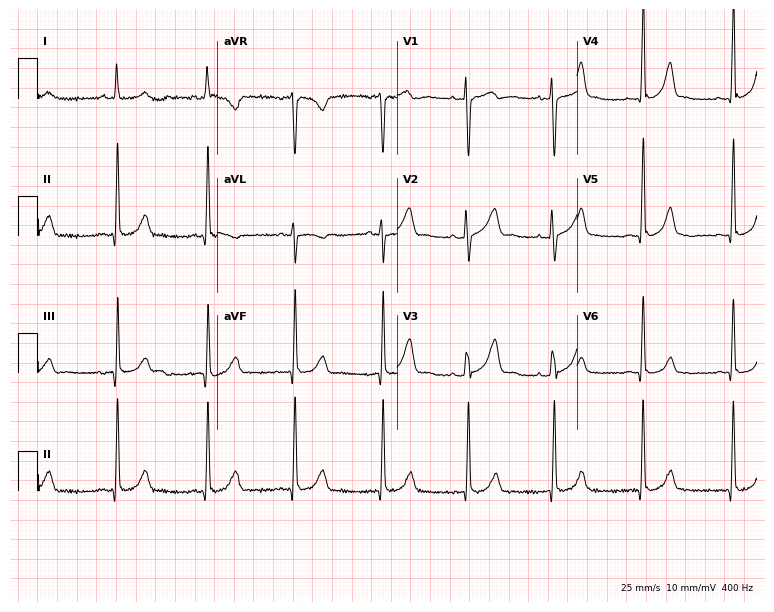
Electrocardiogram (7.3-second recording at 400 Hz), a 27-year-old female. Overall reading on record: normal ECG.